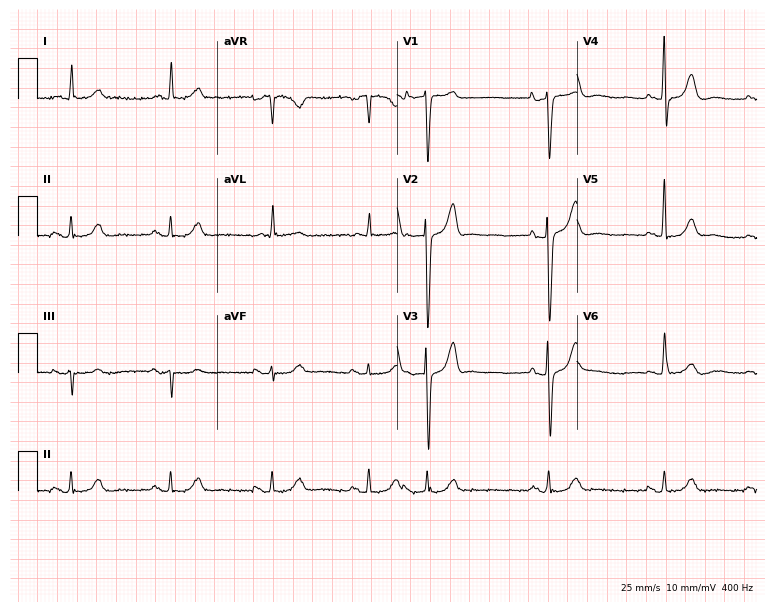
Standard 12-lead ECG recorded from an 81-year-old male patient. None of these six findings is recorded: first-degree AV block, right bundle branch block (RBBB), left bundle branch block (LBBB), sinus bradycardia, atrial fibrillation (AF), sinus tachycardia. Only these six findings were labelled.